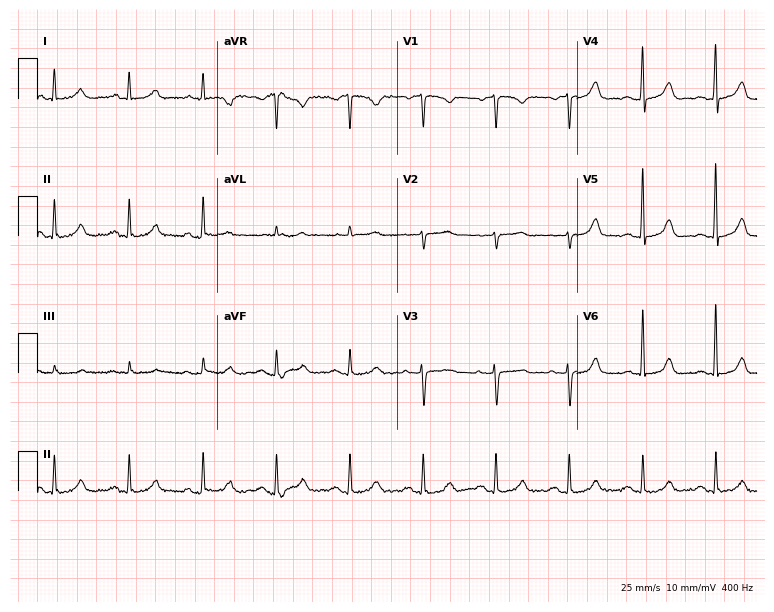
12-lead ECG from a woman, 50 years old. Labelled as a normal ECG.